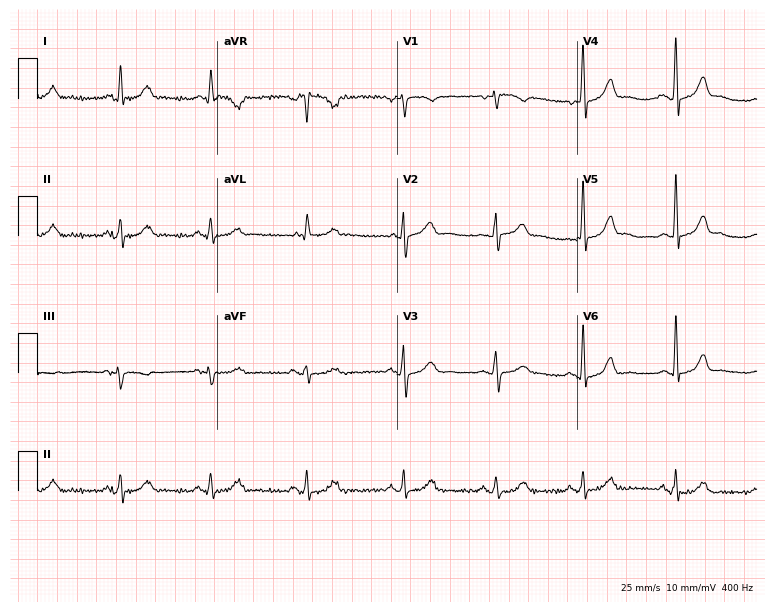
Electrocardiogram (7.3-second recording at 400 Hz), a 48-year-old female patient. Overall reading on record: normal ECG.